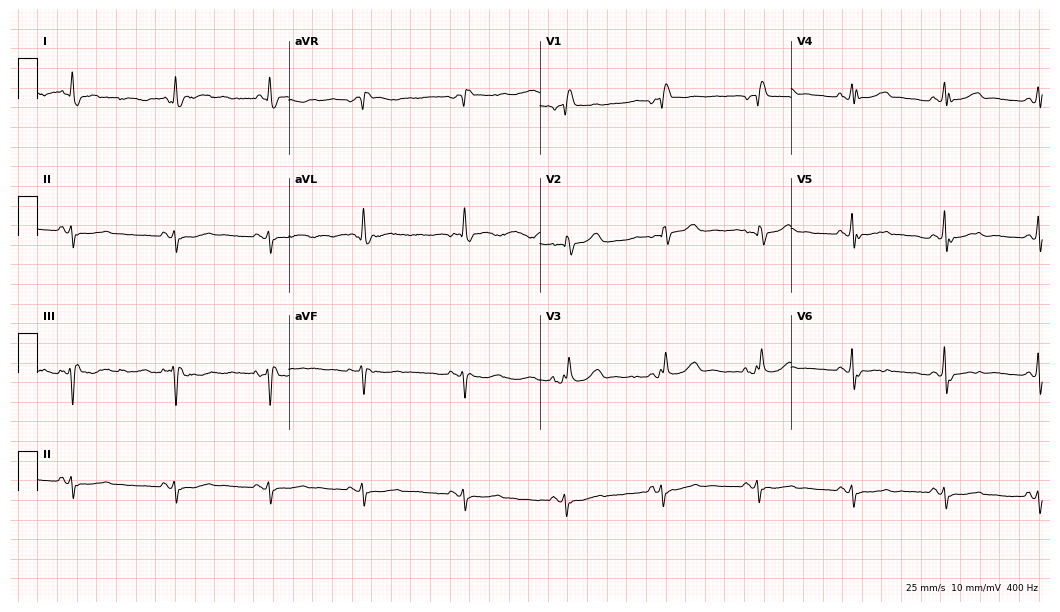
12-lead ECG (10.2-second recording at 400 Hz) from a 79-year-old male. Findings include right bundle branch block (RBBB).